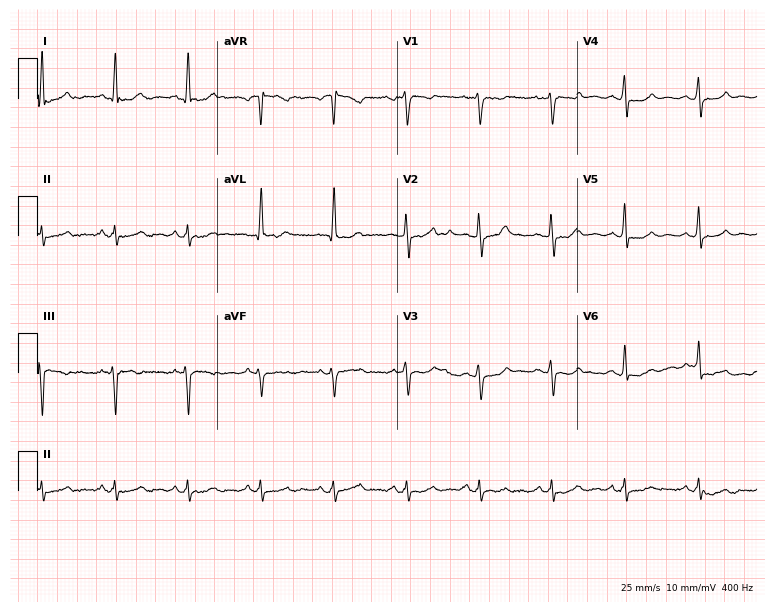
ECG — a female patient, 72 years old. Labelled as a normal ECG.